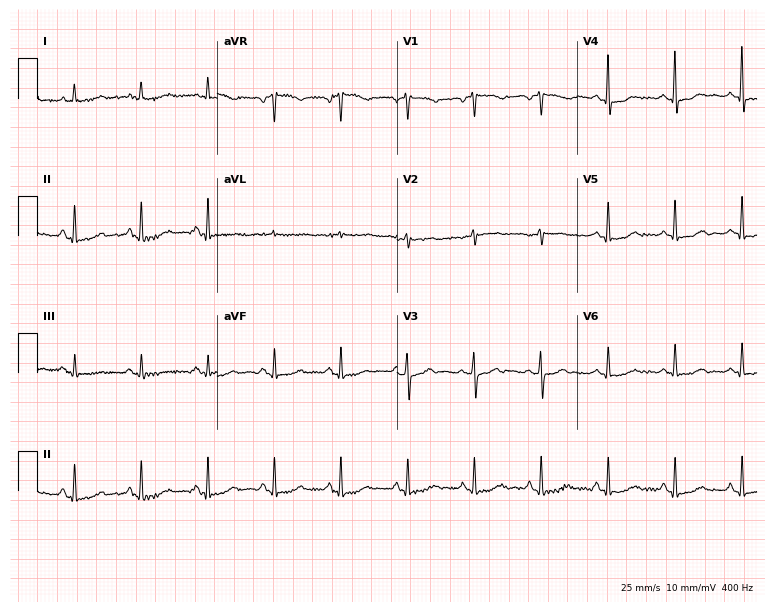
ECG — a woman, 53 years old. Labelled as a normal ECG.